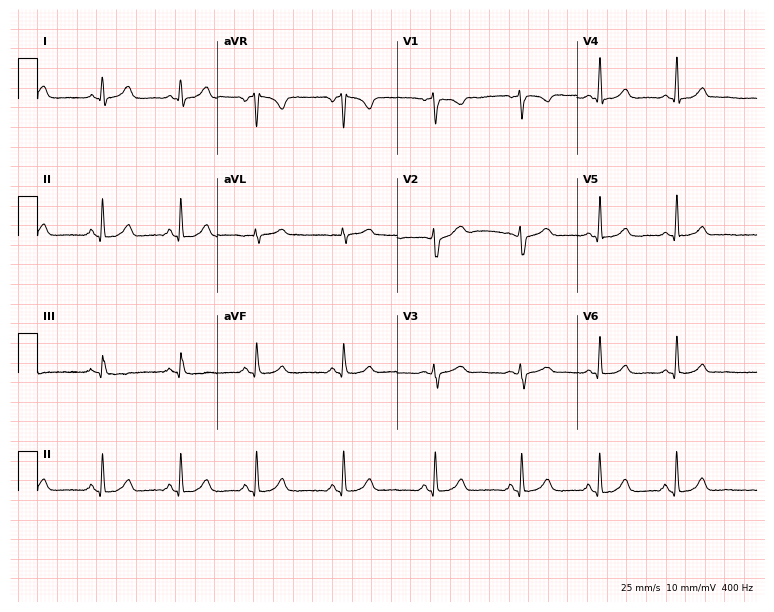
12-lead ECG from a 39-year-old female patient. Labelled as a normal ECG.